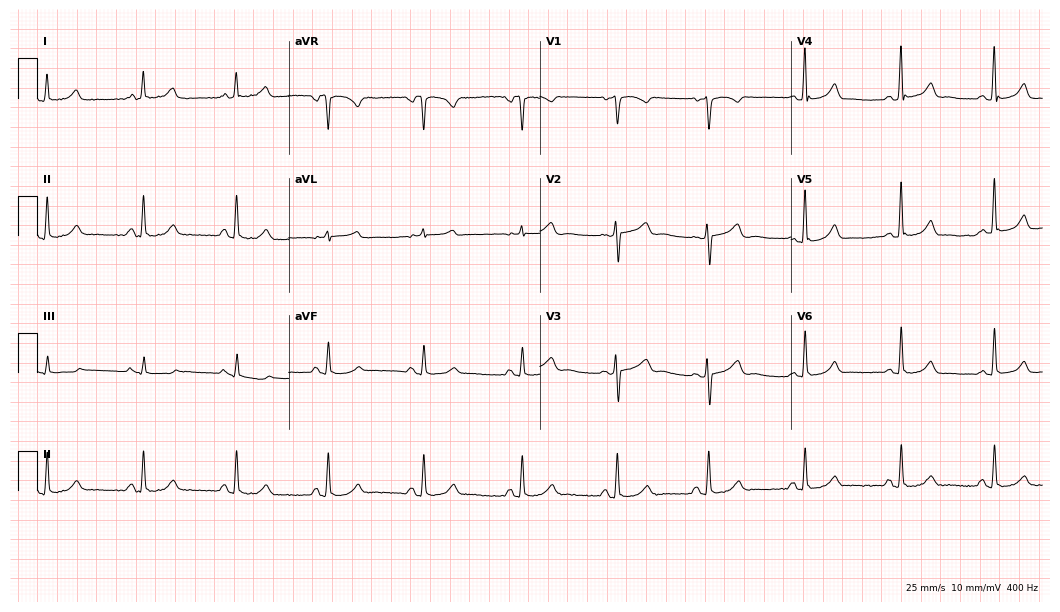
12-lead ECG (10.2-second recording at 400 Hz) from a 44-year-old woman. Labelled as a normal ECG.